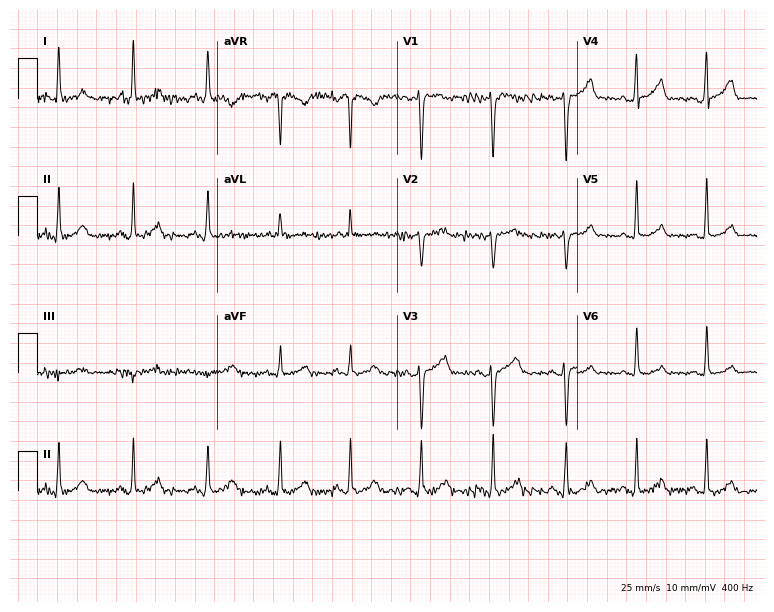
Standard 12-lead ECG recorded from a 27-year-old female patient. None of these six findings is recorded: first-degree AV block, right bundle branch block (RBBB), left bundle branch block (LBBB), sinus bradycardia, atrial fibrillation (AF), sinus tachycardia. Only these six findings were labelled.